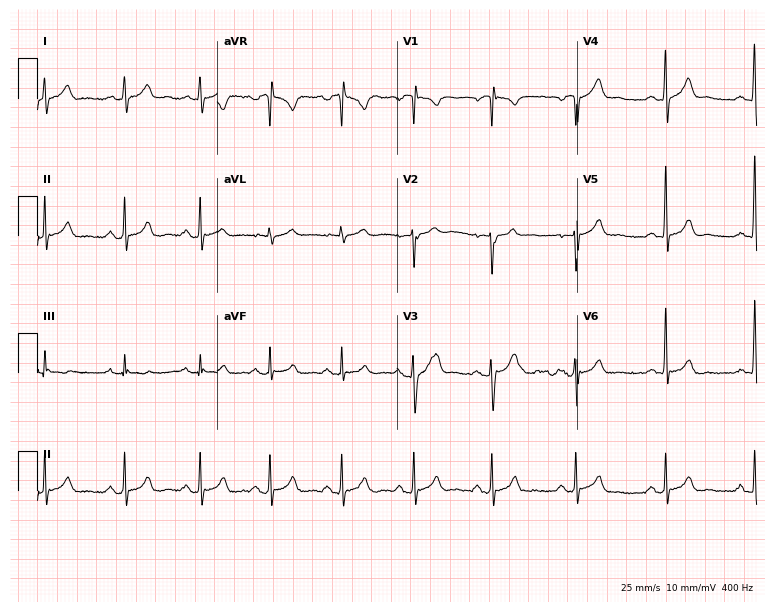
12-lead ECG from a 46-year-old man. No first-degree AV block, right bundle branch block (RBBB), left bundle branch block (LBBB), sinus bradycardia, atrial fibrillation (AF) or sinus tachycardia recorded for this tracing.